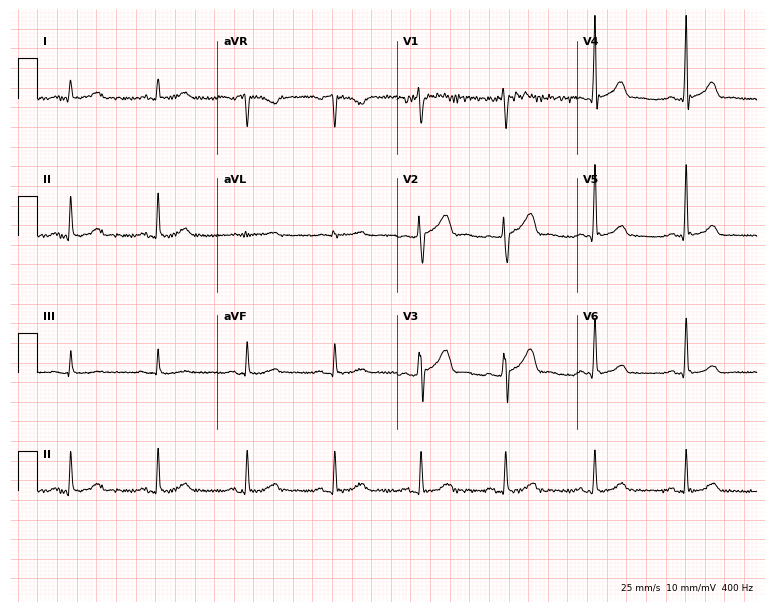
Resting 12-lead electrocardiogram (7.3-second recording at 400 Hz). Patient: a male, 45 years old. Read as a normal ECG.